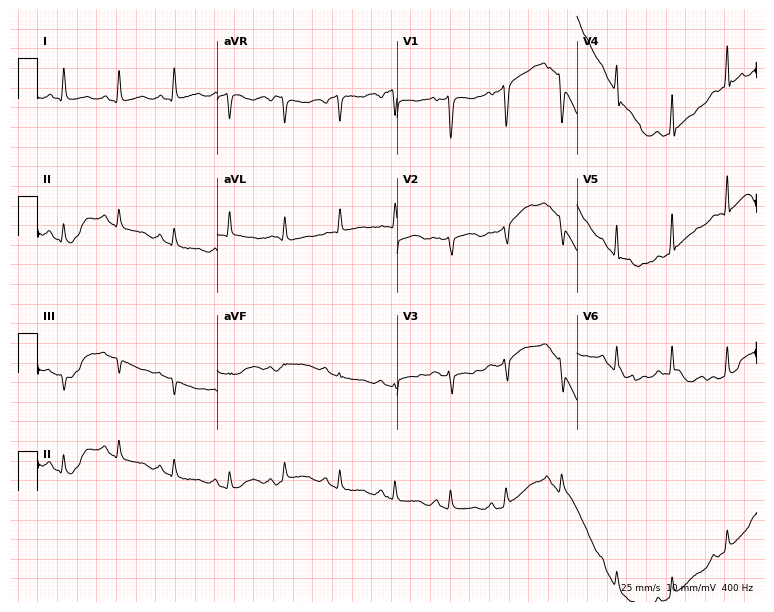
Electrocardiogram, a 53-year-old female patient. Of the six screened findings (first-degree AV block, right bundle branch block, left bundle branch block, sinus bradycardia, atrial fibrillation, sinus tachycardia), none is recorded.